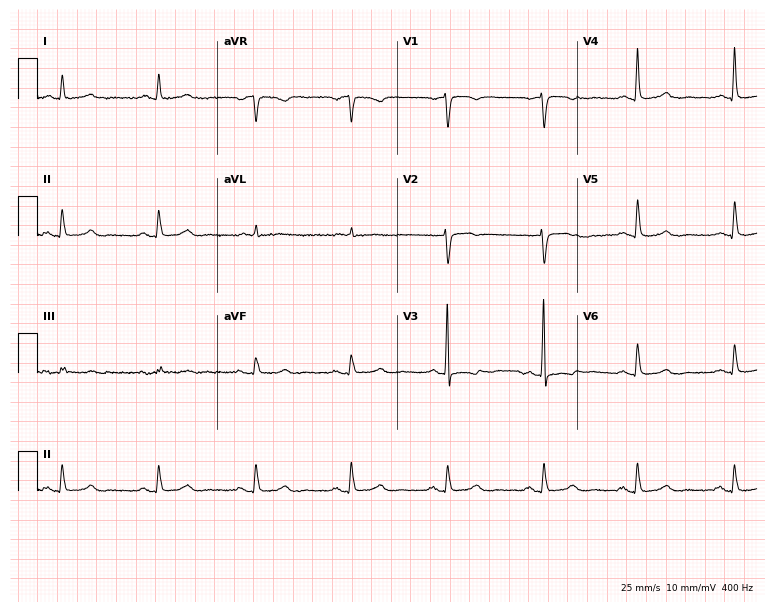
Standard 12-lead ECG recorded from a female, 59 years old (7.3-second recording at 400 Hz). None of these six findings is recorded: first-degree AV block, right bundle branch block, left bundle branch block, sinus bradycardia, atrial fibrillation, sinus tachycardia.